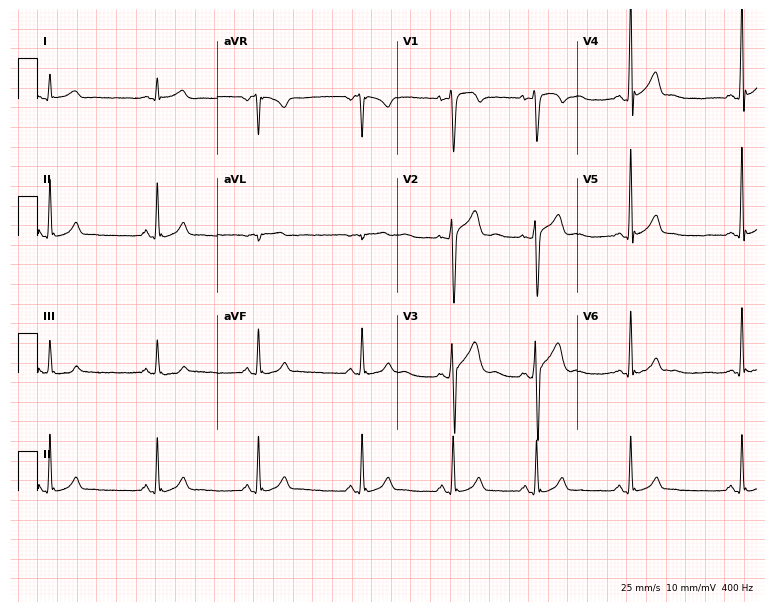
Electrocardiogram, an 18-year-old man. Of the six screened findings (first-degree AV block, right bundle branch block, left bundle branch block, sinus bradycardia, atrial fibrillation, sinus tachycardia), none is recorded. Other findings, if any, are not listed.